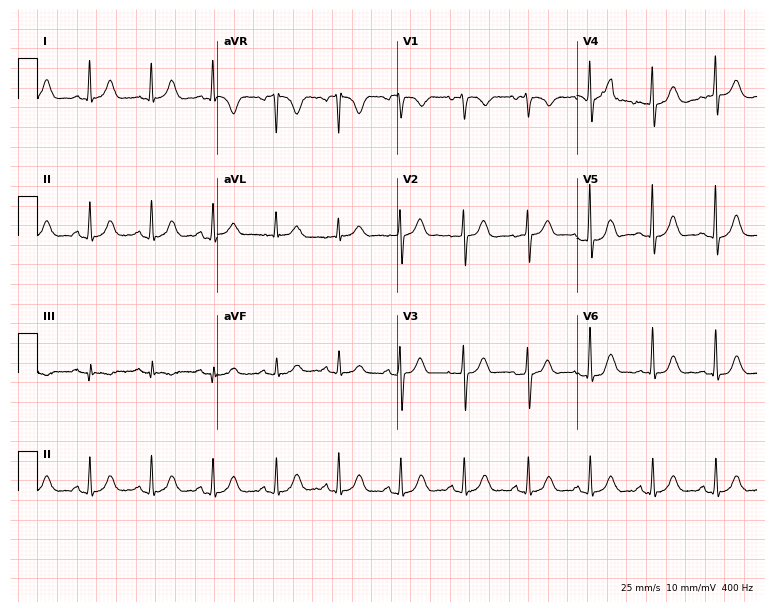
12-lead ECG from a 44-year-old woman. Recorded interpretation: within normal limits.